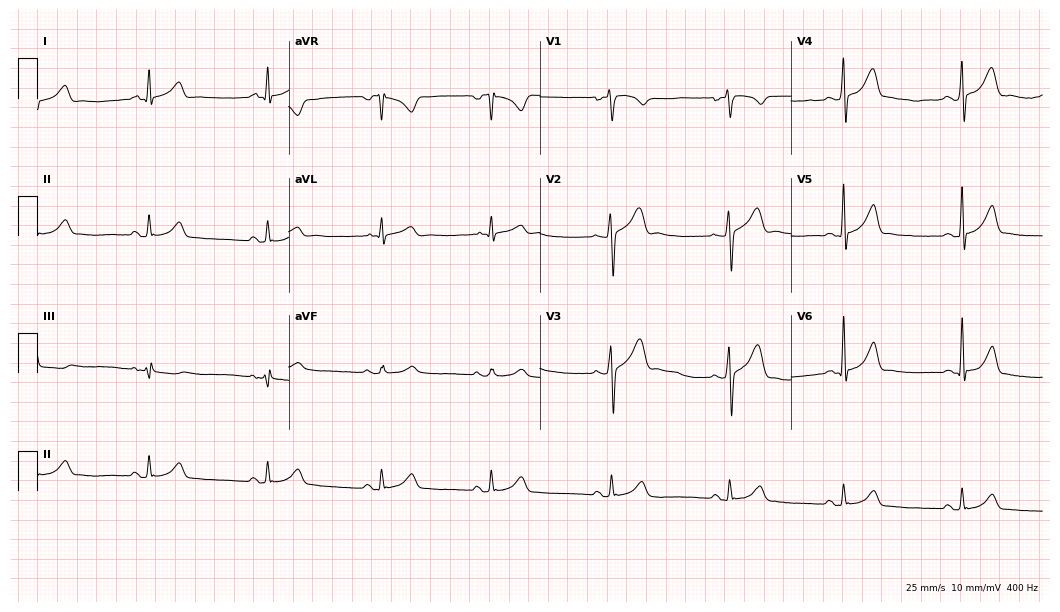
12-lead ECG (10.2-second recording at 400 Hz) from a 27-year-old male patient. Labelled as a normal ECG.